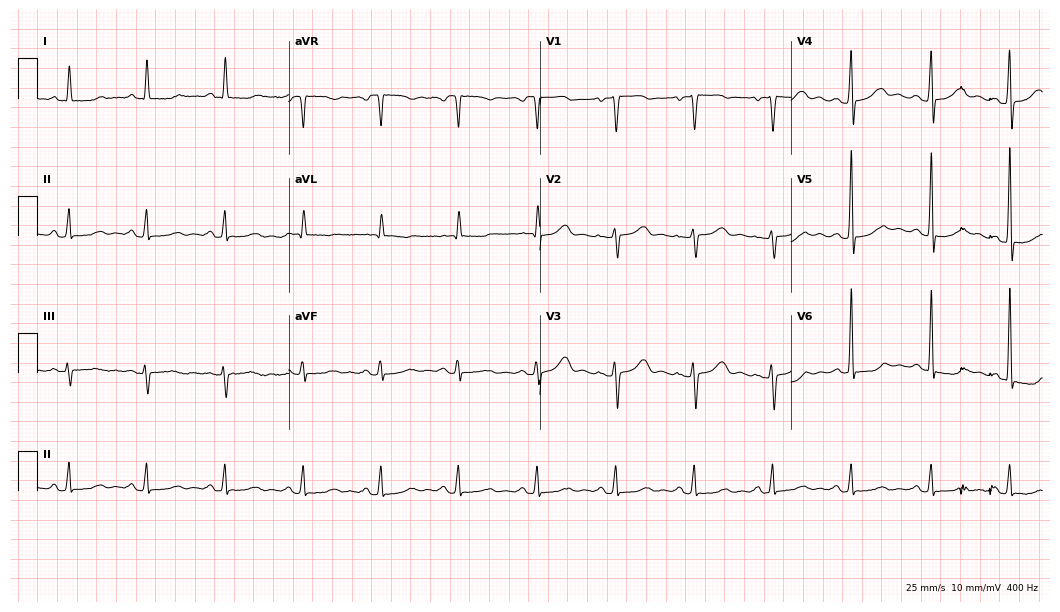
ECG (10.2-second recording at 400 Hz) — a 67-year-old female. Screened for six findings — first-degree AV block, right bundle branch block, left bundle branch block, sinus bradycardia, atrial fibrillation, sinus tachycardia — none is recorded.